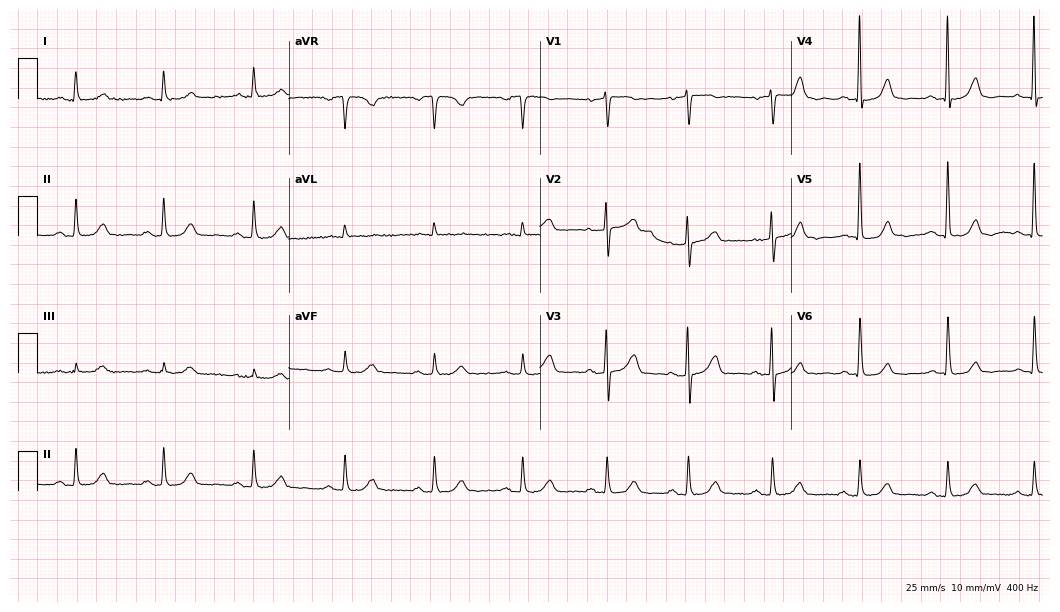
12-lead ECG from a man, 83 years old. Recorded interpretation: within normal limits.